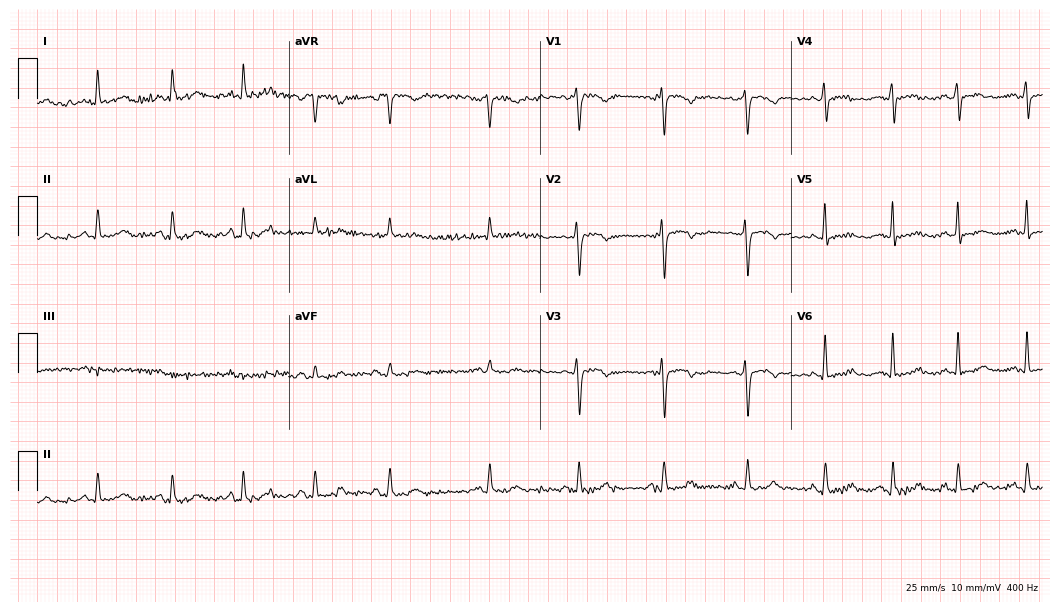
Resting 12-lead electrocardiogram (10.2-second recording at 400 Hz). Patient: a 50-year-old female. None of these six findings is recorded: first-degree AV block, right bundle branch block, left bundle branch block, sinus bradycardia, atrial fibrillation, sinus tachycardia. Findings outside these six are not listed.